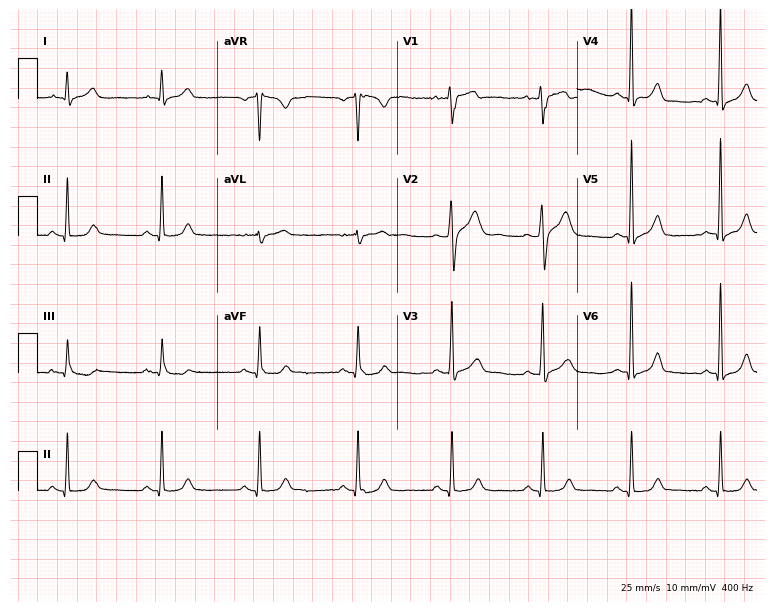
Resting 12-lead electrocardiogram (7.3-second recording at 400 Hz). Patient: a male, 48 years old. None of these six findings is recorded: first-degree AV block, right bundle branch block (RBBB), left bundle branch block (LBBB), sinus bradycardia, atrial fibrillation (AF), sinus tachycardia.